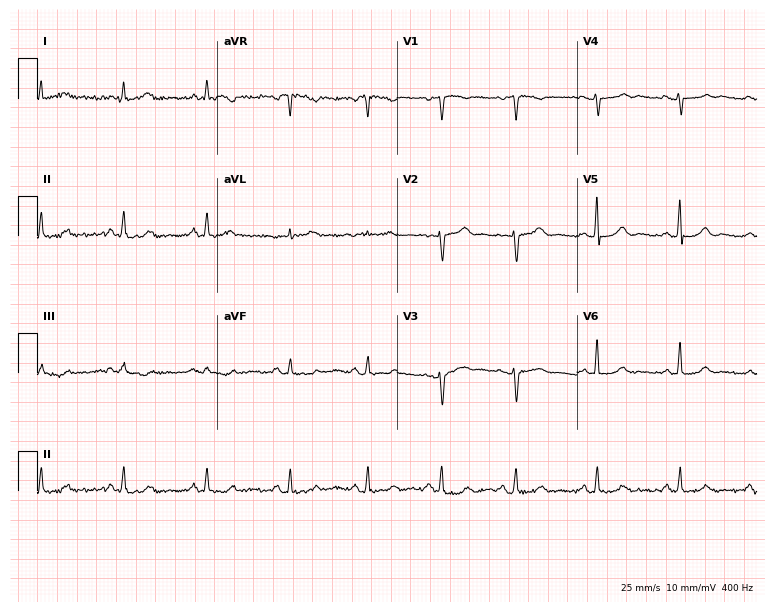
12-lead ECG from a 54-year-old female (7.3-second recording at 400 Hz). No first-degree AV block, right bundle branch block, left bundle branch block, sinus bradycardia, atrial fibrillation or sinus tachycardia recorded for this tracing.